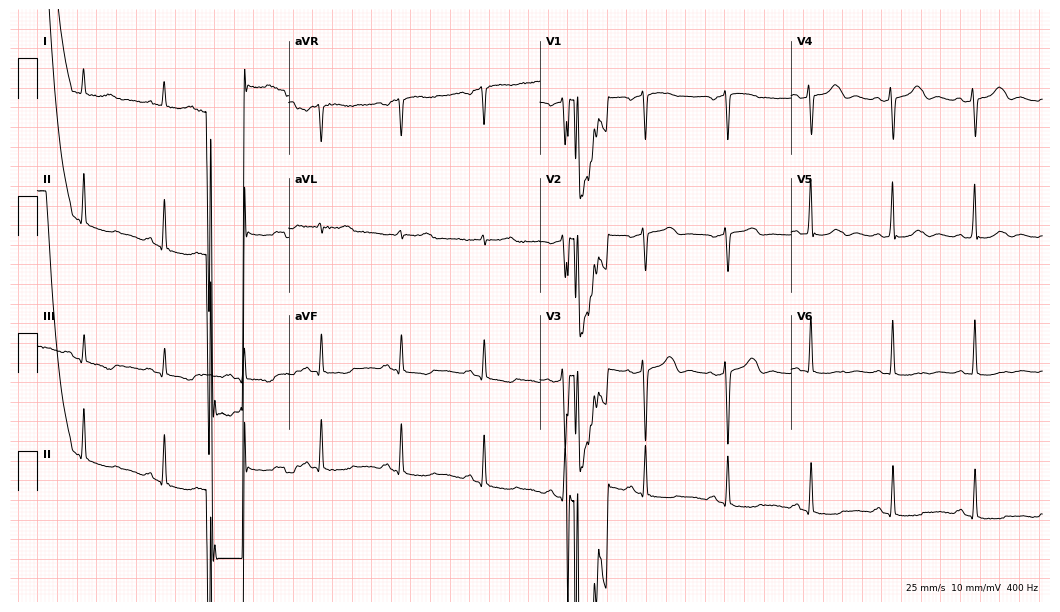
ECG — a 52-year-old woman. Screened for six findings — first-degree AV block, right bundle branch block (RBBB), left bundle branch block (LBBB), sinus bradycardia, atrial fibrillation (AF), sinus tachycardia — none is recorded.